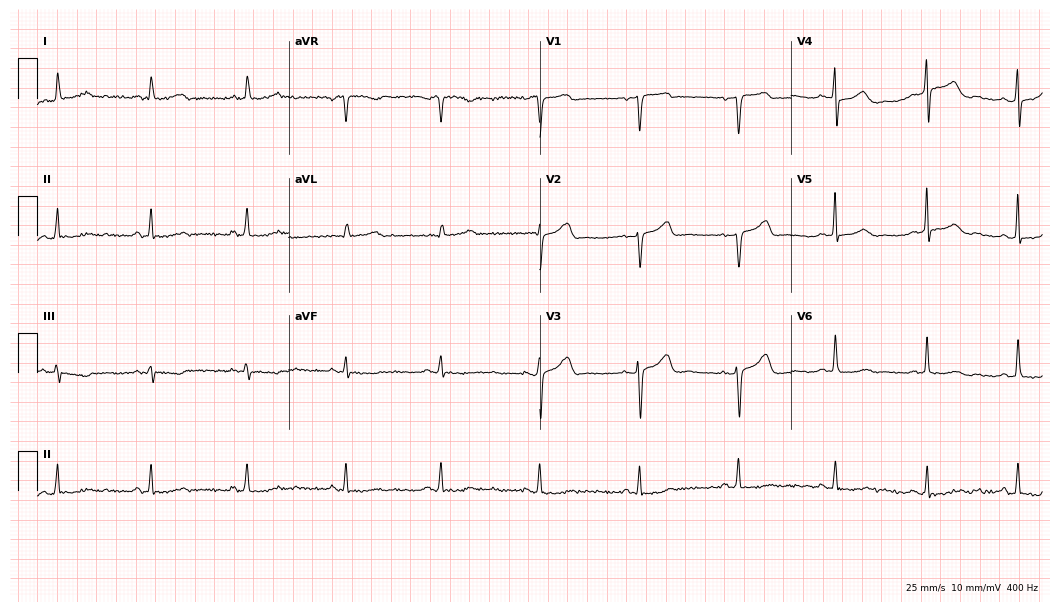
Standard 12-lead ECG recorded from a 56-year-old female. Read as a normal ECG.